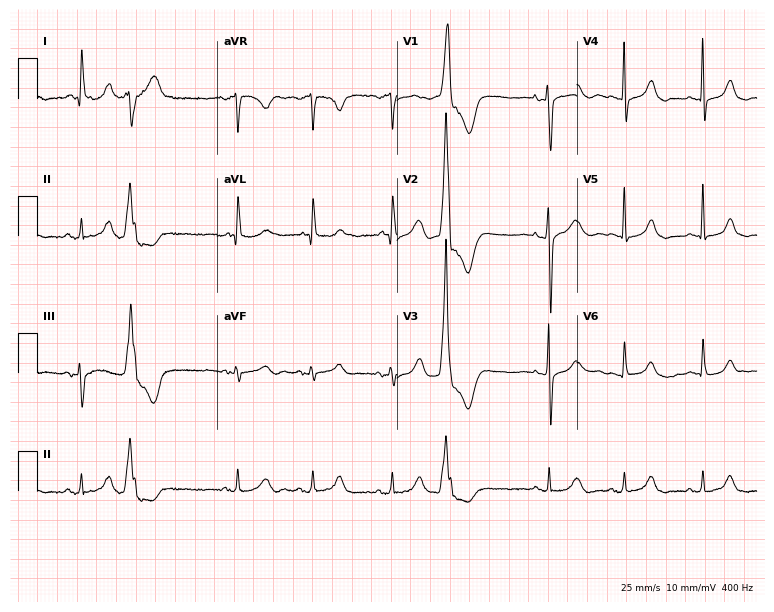
Electrocardiogram, a female patient, 77 years old. Of the six screened findings (first-degree AV block, right bundle branch block, left bundle branch block, sinus bradycardia, atrial fibrillation, sinus tachycardia), none is recorded. Findings outside these six are not listed.